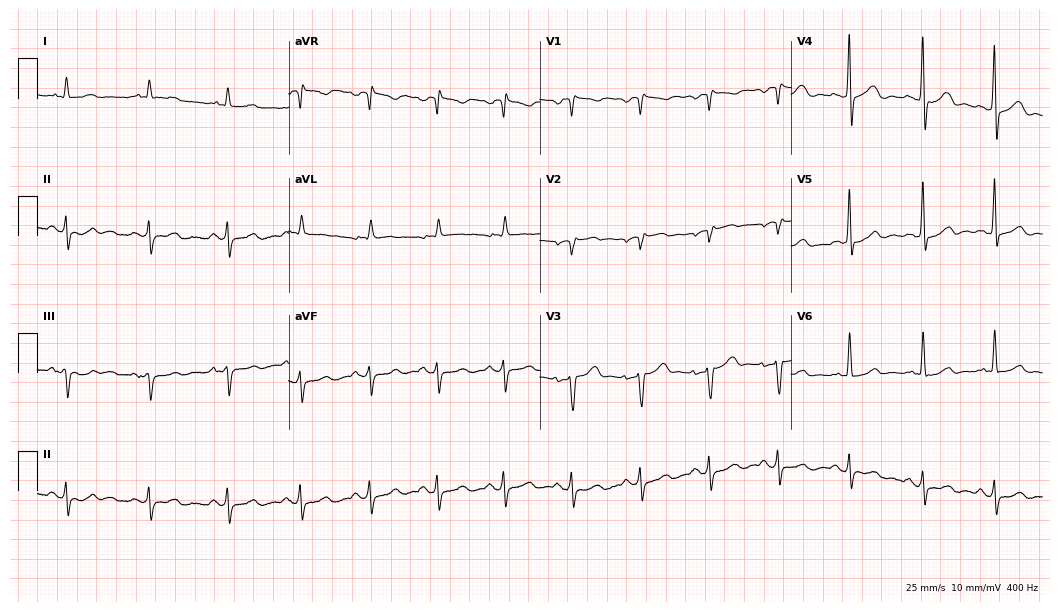
Resting 12-lead electrocardiogram (10.2-second recording at 400 Hz). Patient: a 73-year-old man. None of these six findings is recorded: first-degree AV block, right bundle branch block, left bundle branch block, sinus bradycardia, atrial fibrillation, sinus tachycardia.